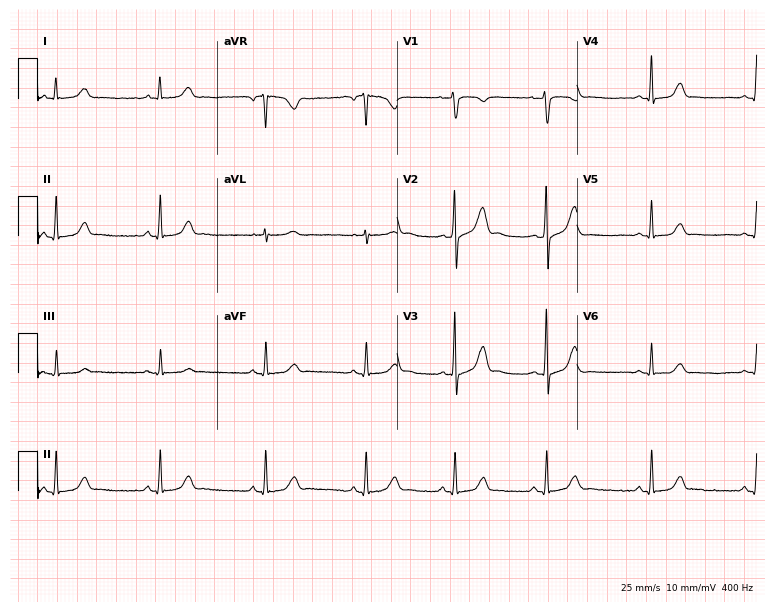
12-lead ECG from a female patient, 21 years old (7.3-second recording at 400 Hz). Recorded interpretation: within normal limits.